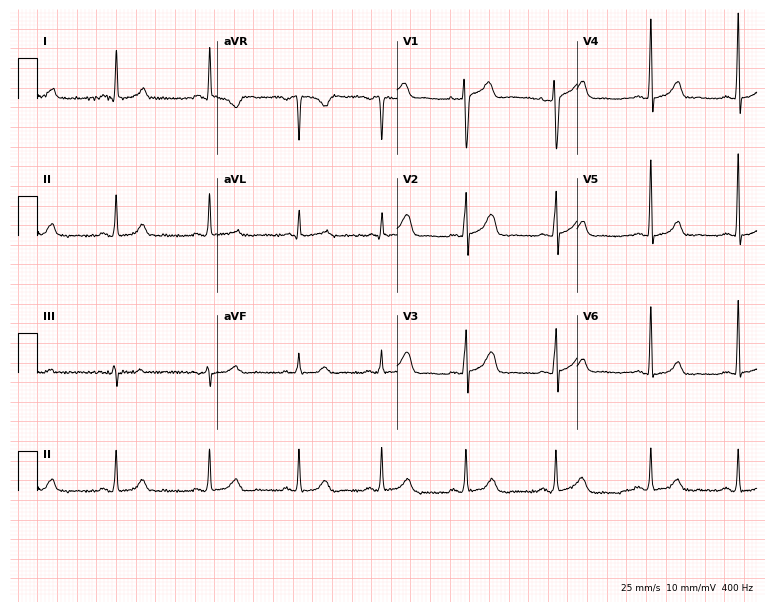
ECG — a 52-year-old female. Labelled as a normal ECG.